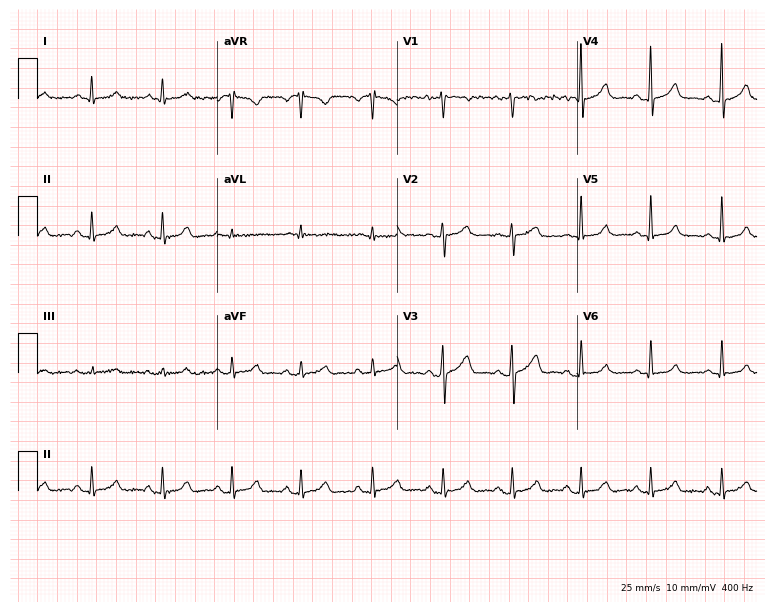
Standard 12-lead ECG recorded from a female patient, 35 years old (7.3-second recording at 400 Hz). None of these six findings is recorded: first-degree AV block, right bundle branch block (RBBB), left bundle branch block (LBBB), sinus bradycardia, atrial fibrillation (AF), sinus tachycardia. Findings outside these six are not listed.